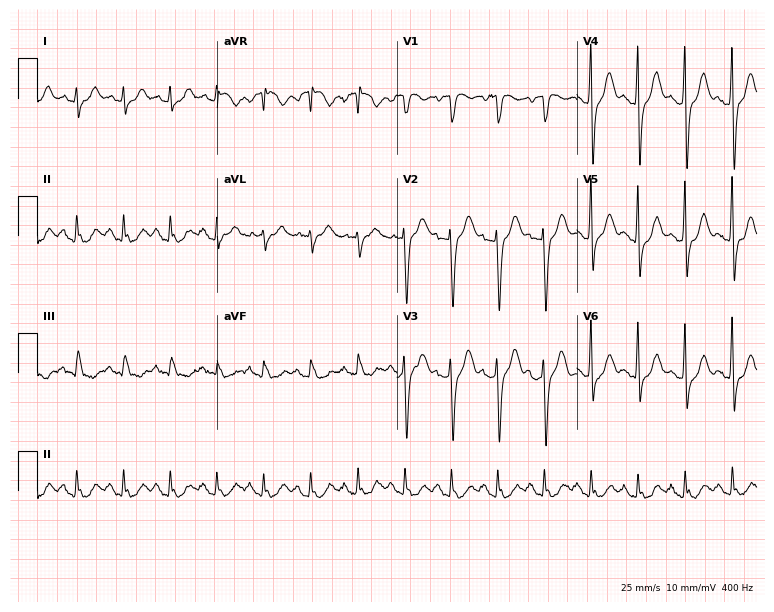
Resting 12-lead electrocardiogram (7.3-second recording at 400 Hz). Patient: a 73-year-old male. The tracing shows sinus tachycardia (a sinus rate of 100 beats per minute or more).